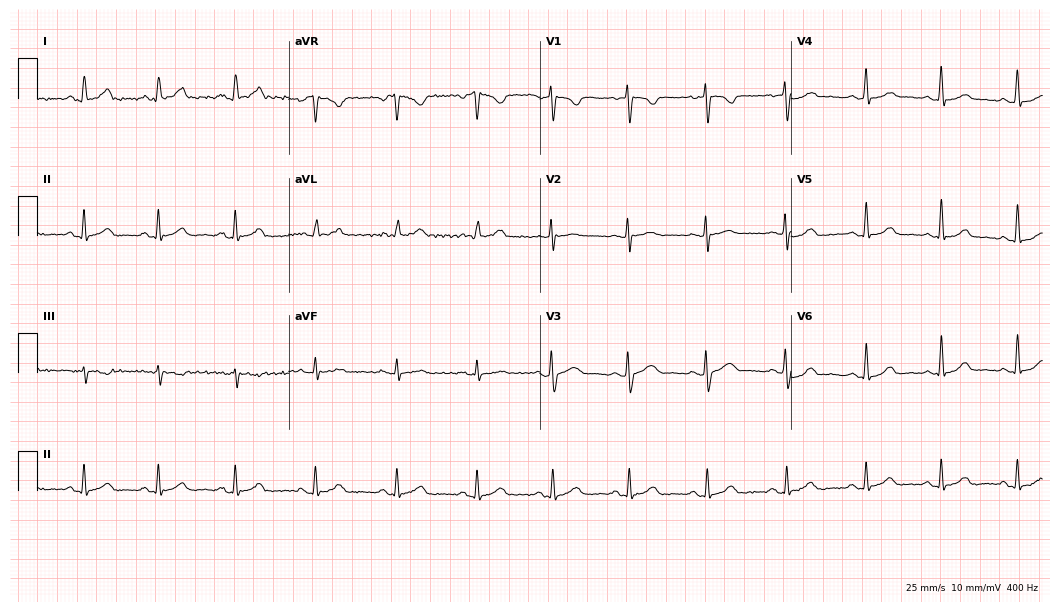
Electrocardiogram (10.2-second recording at 400 Hz), a 28-year-old woman. Overall reading on record: normal ECG.